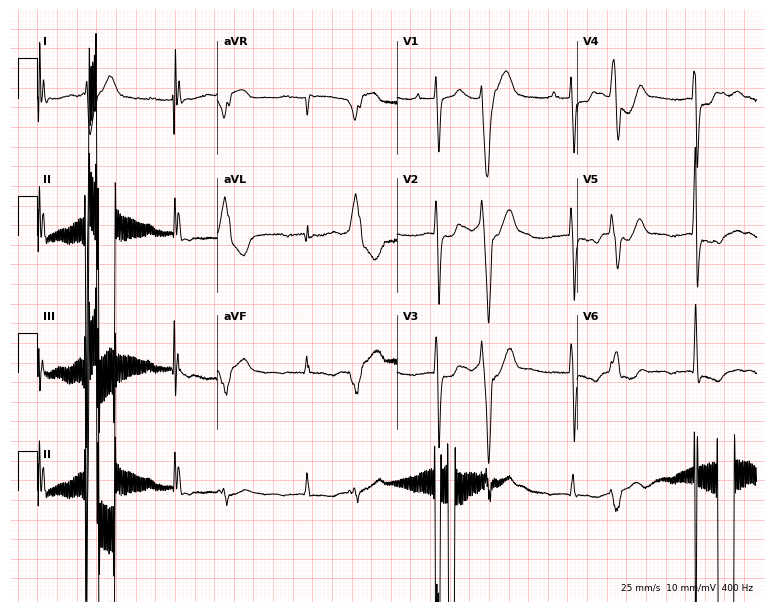
12-lead ECG from a 73-year-old woman. Screened for six findings — first-degree AV block, right bundle branch block (RBBB), left bundle branch block (LBBB), sinus bradycardia, atrial fibrillation (AF), sinus tachycardia — none is recorded. Only these six findings were labelled.